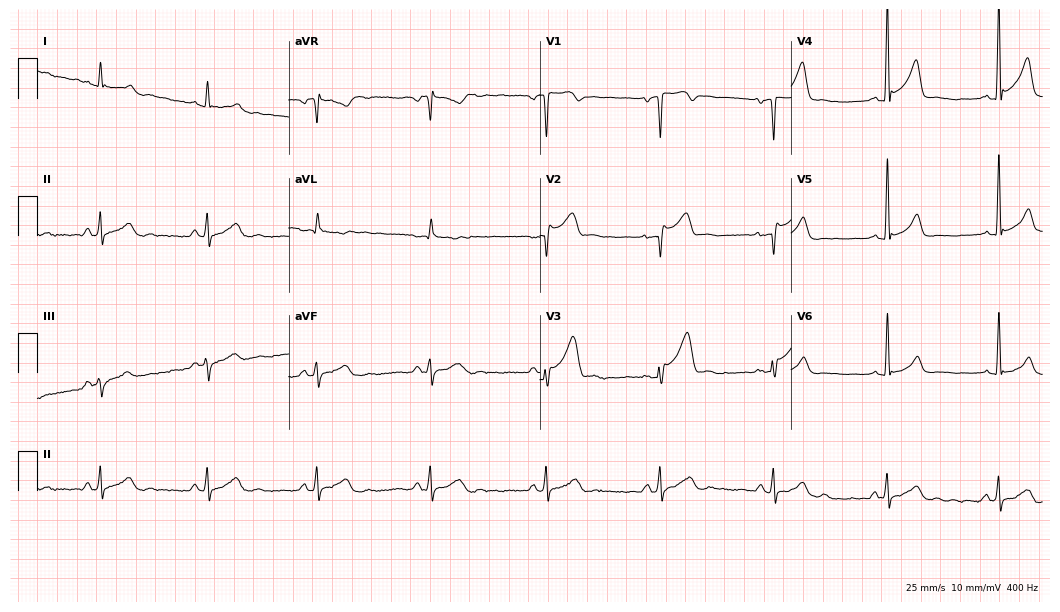
12-lead ECG from a 47-year-old male (10.2-second recording at 400 Hz). Recorded interpretation: within normal limits.